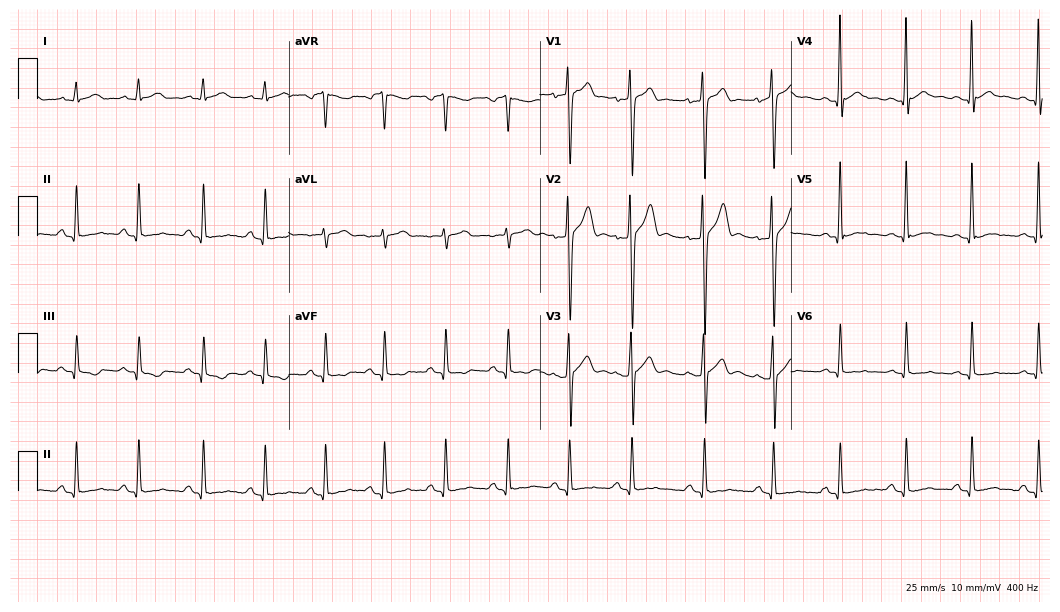
Resting 12-lead electrocardiogram (10.2-second recording at 400 Hz). Patient: a male, 19 years old. Read as a normal ECG.